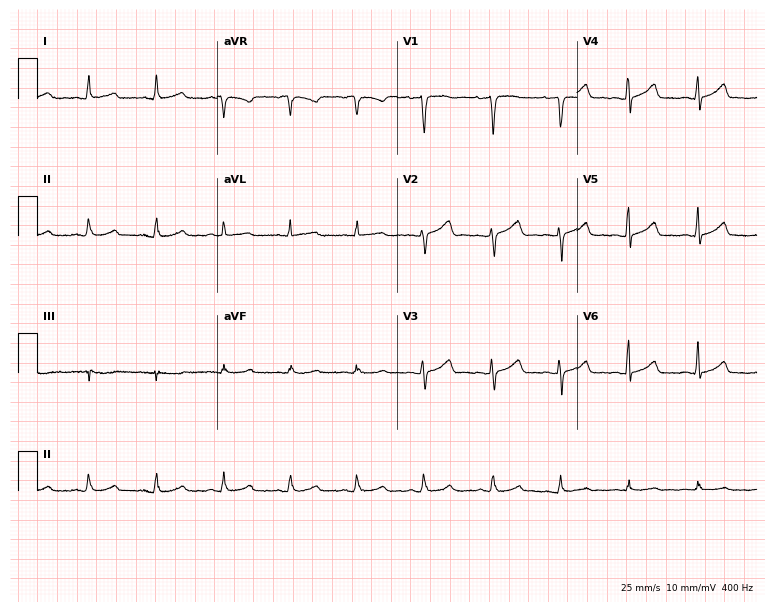
Standard 12-lead ECG recorded from a 48-year-old female patient (7.3-second recording at 400 Hz). None of these six findings is recorded: first-degree AV block, right bundle branch block, left bundle branch block, sinus bradycardia, atrial fibrillation, sinus tachycardia.